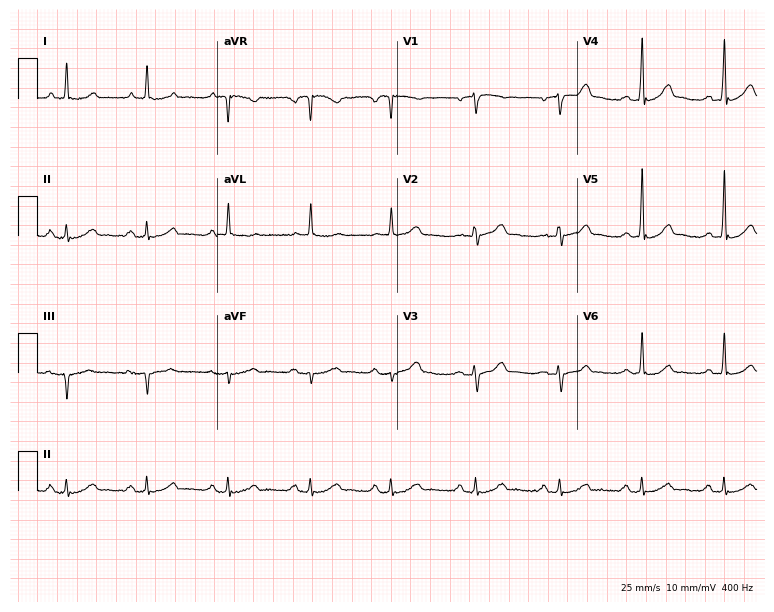
Electrocardiogram, a 63-year-old male patient. Overall reading on record: normal ECG.